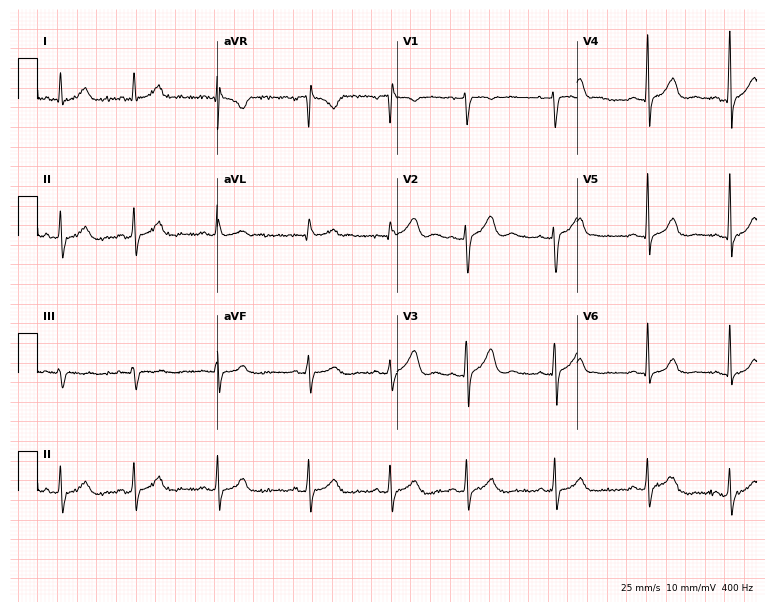
Electrocardiogram (7.3-second recording at 400 Hz), a 27-year-old woman. Overall reading on record: normal ECG.